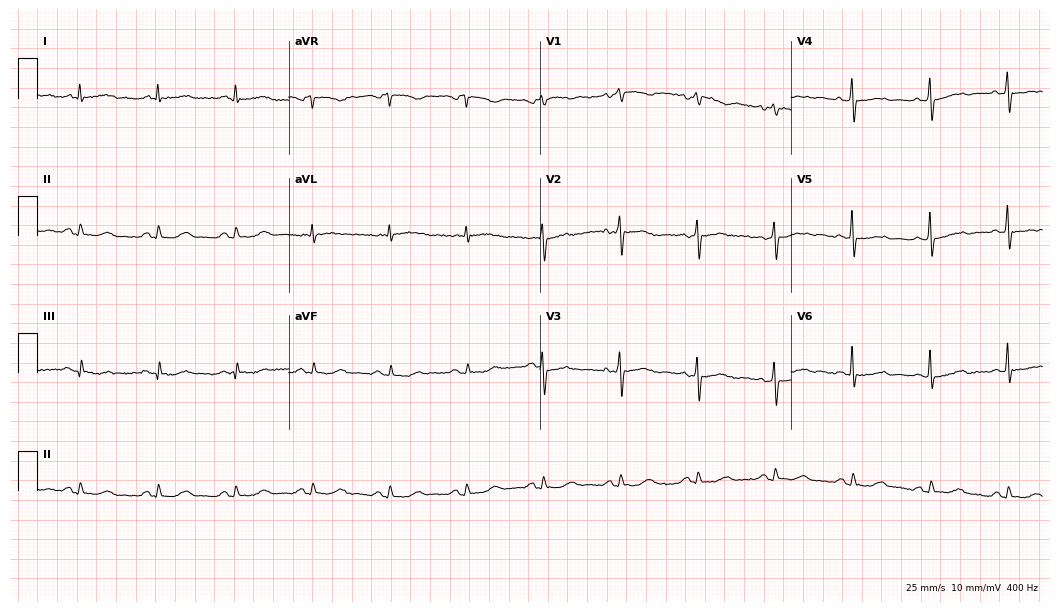
Resting 12-lead electrocardiogram (10.2-second recording at 400 Hz). Patient: a 61-year-old woman. None of these six findings is recorded: first-degree AV block, right bundle branch block, left bundle branch block, sinus bradycardia, atrial fibrillation, sinus tachycardia.